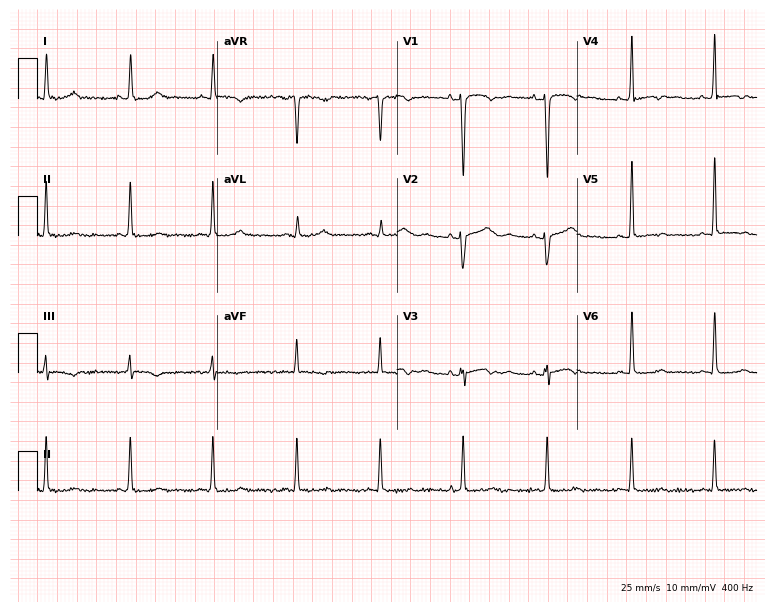
12-lead ECG from a 45-year-old female patient (7.3-second recording at 400 Hz). No first-degree AV block, right bundle branch block, left bundle branch block, sinus bradycardia, atrial fibrillation or sinus tachycardia recorded for this tracing.